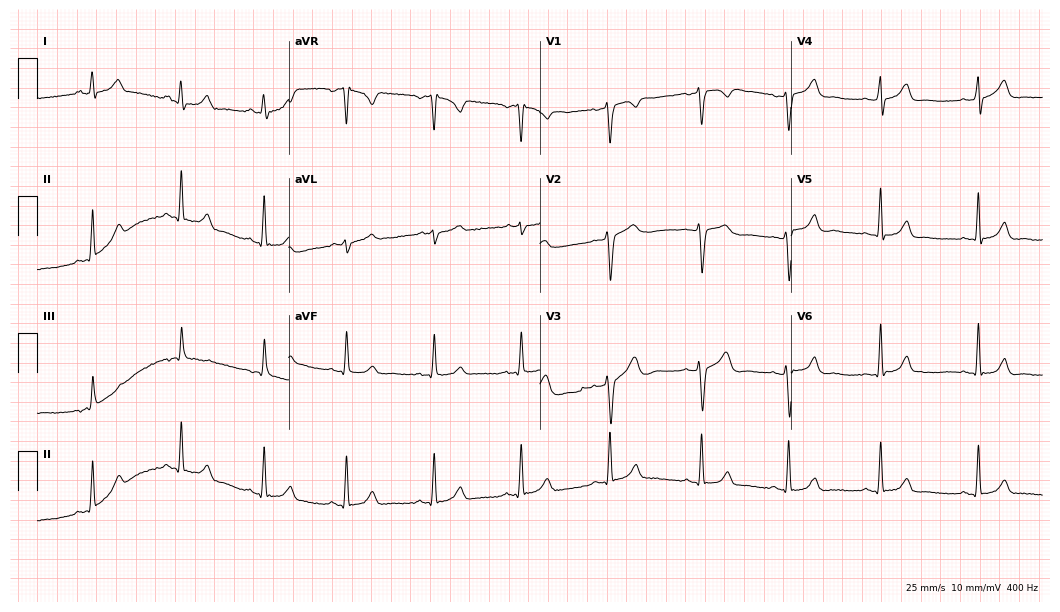
Resting 12-lead electrocardiogram (10.2-second recording at 400 Hz). Patient: a 30-year-old female. Read as a normal ECG.